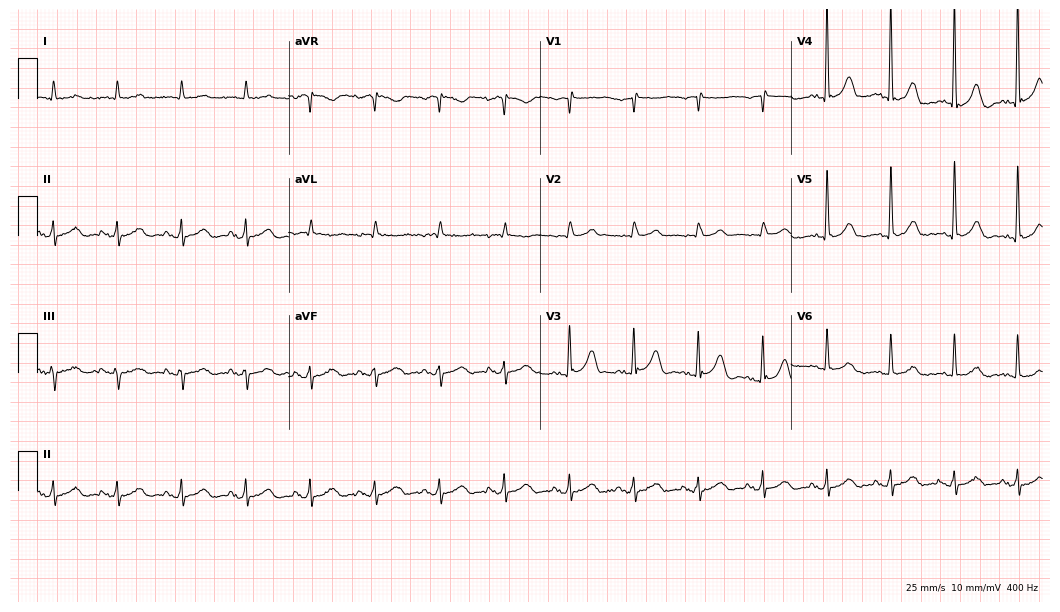
Resting 12-lead electrocardiogram. Patient: a male, 80 years old. Read as a normal ECG.